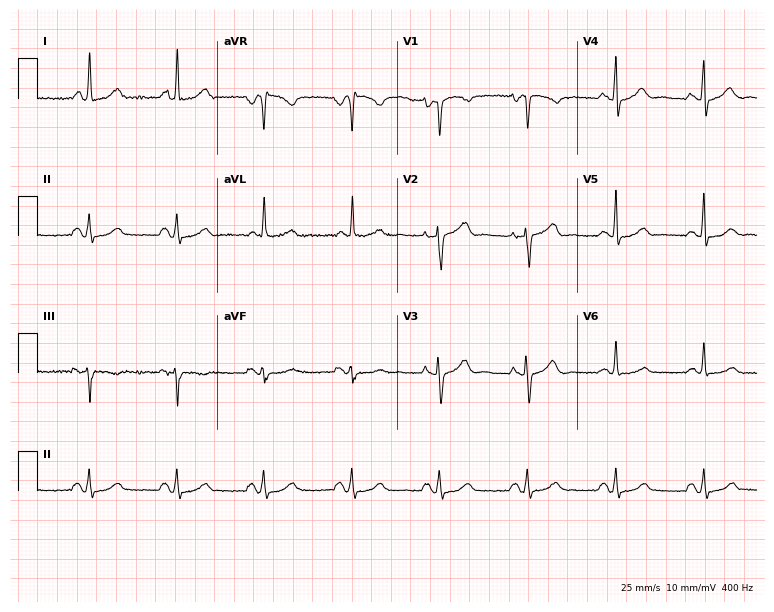
Resting 12-lead electrocardiogram. Patient: a woman, 68 years old. Read as a normal ECG.